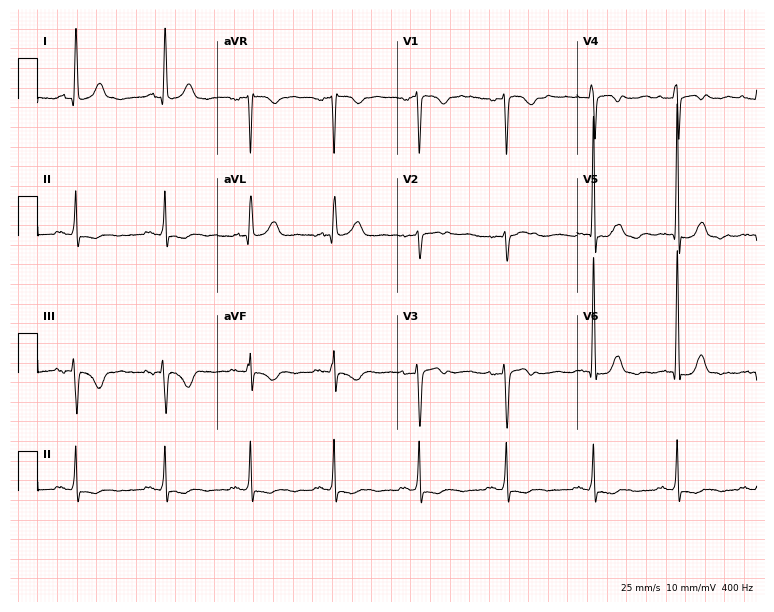
Standard 12-lead ECG recorded from a 50-year-old female patient (7.3-second recording at 400 Hz). None of these six findings is recorded: first-degree AV block, right bundle branch block, left bundle branch block, sinus bradycardia, atrial fibrillation, sinus tachycardia. Findings outside these six are not listed.